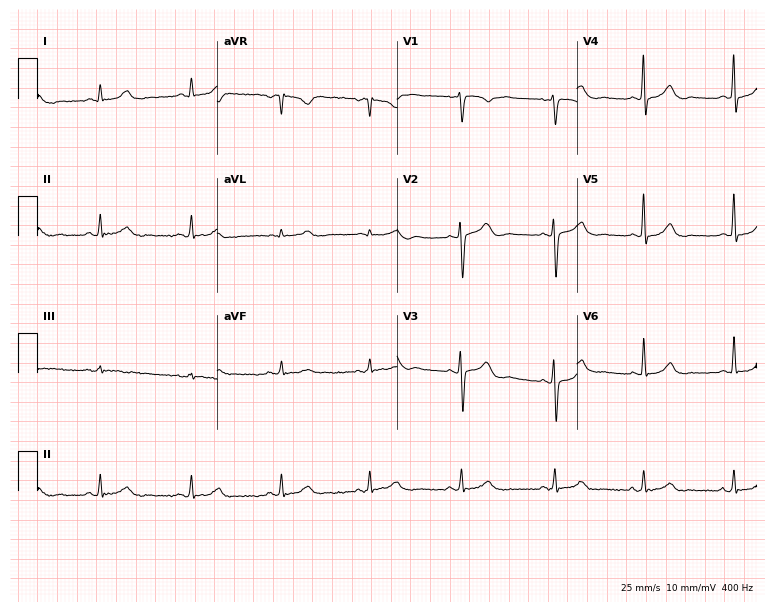
ECG — a woman, 48 years old. Screened for six findings — first-degree AV block, right bundle branch block, left bundle branch block, sinus bradycardia, atrial fibrillation, sinus tachycardia — none is recorded.